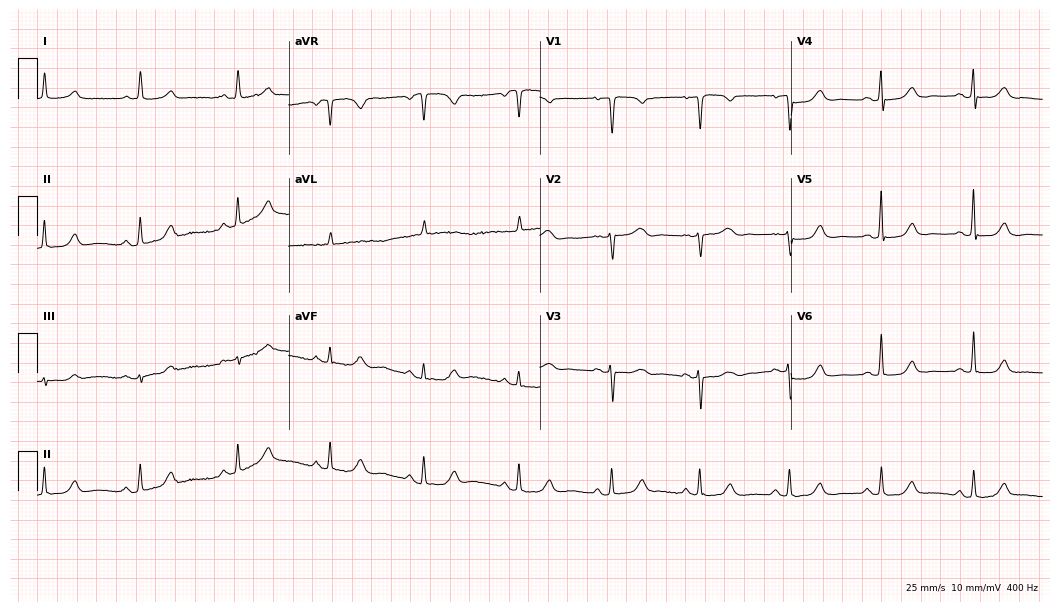
Standard 12-lead ECG recorded from a female patient, 73 years old (10.2-second recording at 400 Hz). Read as a normal ECG.